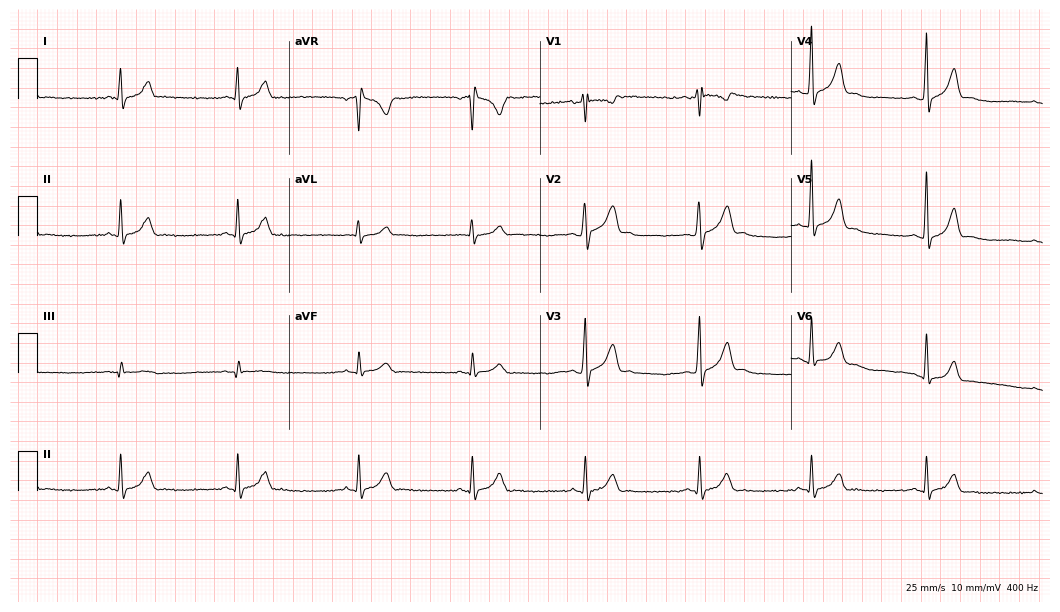
Electrocardiogram, a 25-year-old male. Of the six screened findings (first-degree AV block, right bundle branch block, left bundle branch block, sinus bradycardia, atrial fibrillation, sinus tachycardia), none is recorded.